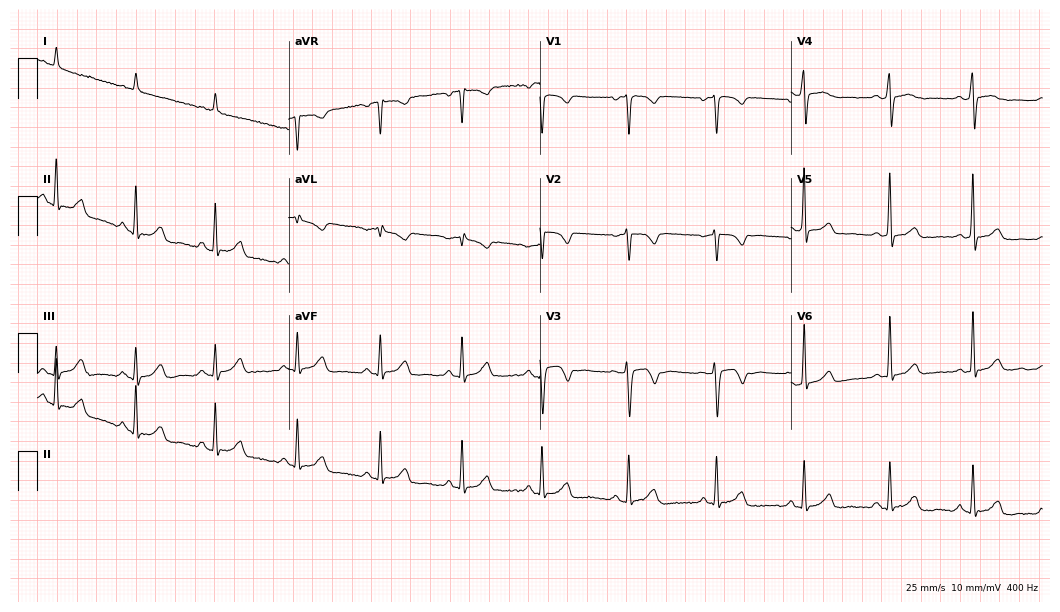
12-lead ECG from a 64-year-old woman. Recorded interpretation: within normal limits.